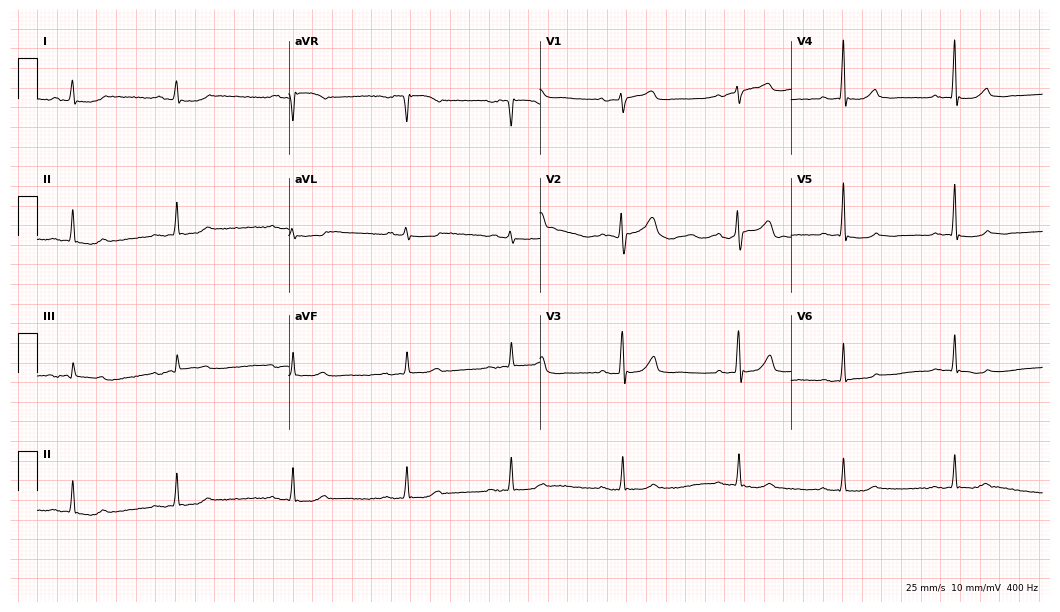
ECG — an 80-year-old male. Screened for six findings — first-degree AV block, right bundle branch block (RBBB), left bundle branch block (LBBB), sinus bradycardia, atrial fibrillation (AF), sinus tachycardia — none is recorded. Only these six findings were labelled.